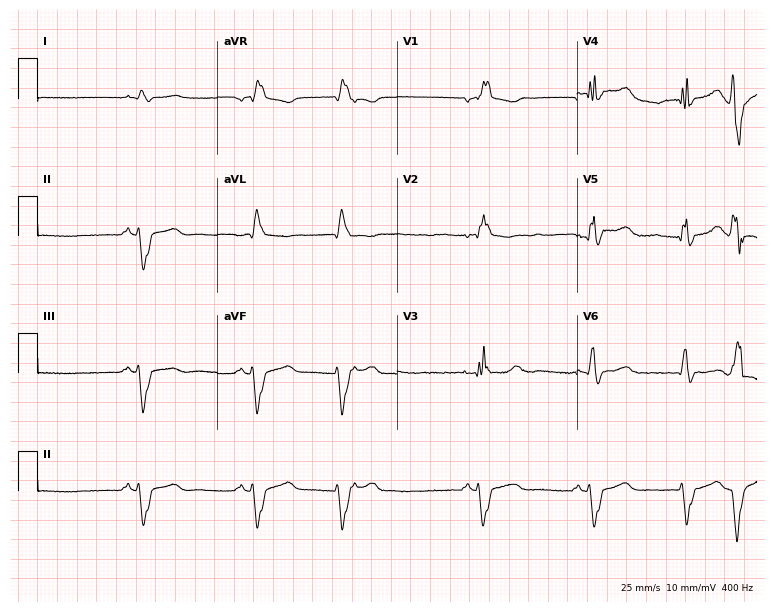
Electrocardiogram, a male patient, 66 years old. Of the six screened findings (first-degree AV block, right bundle branch block, left bundle branch block, sinus bradycardia, atrial fibrillation, sinus tachycardia), none is recorded.